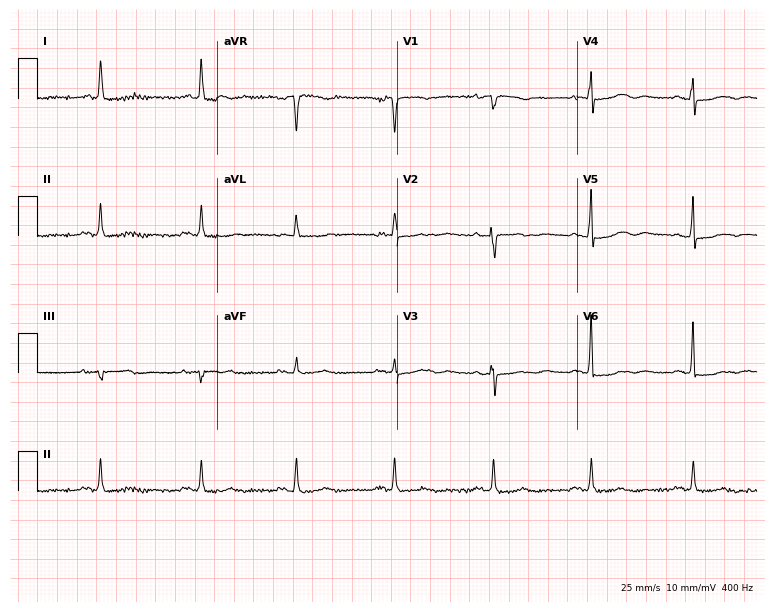
12-lead ECG from an 81-year-old woman. No first-degree AV block, right bundle branch block, left bundle branch block, sinus bradycardia, atrial fibrillation or sinus tachycardia recorded for this tracing. Other findings, if any, are not listed.